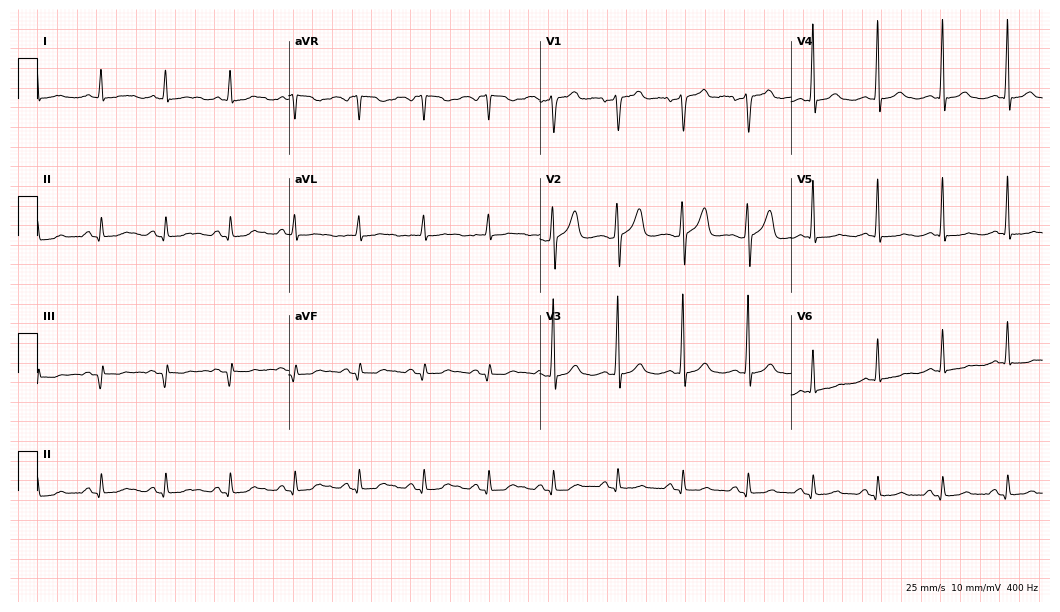
12-lead ECG (10.2-second recording at 400 Hz) from a man, 63 years old. Screened for six findings — first-degree AV block, right bundle branch block, left bundle branch block, sinus bradycardia, atrial fibrillation, sinus tachycardia — none is recorded. Only these six findings were labelled.